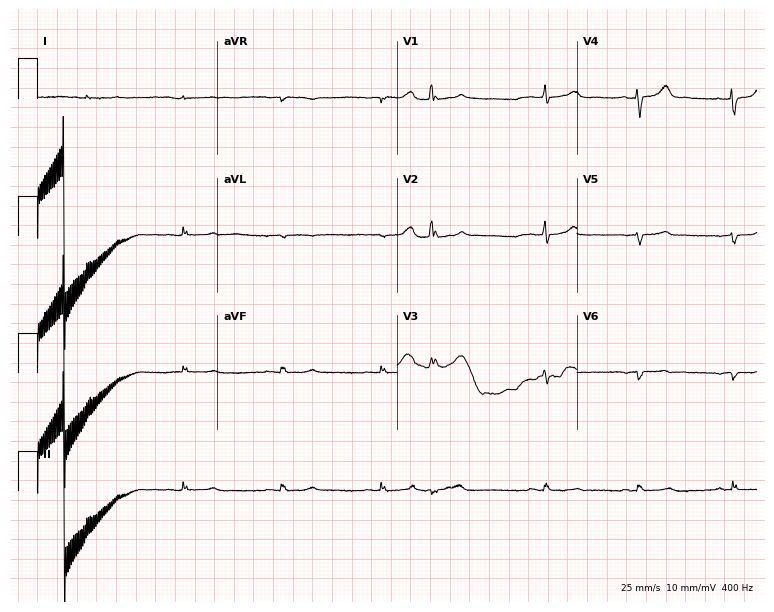
12-lead ECG (7.3-second recording at 400 Hz) from a 71-year-old male. Screened for six findings — first-degree AV block, right bundle branch block, left bundle branch block, sinus bradycardia, atrial fibrillation, sinus tachycardia — none is recorded.